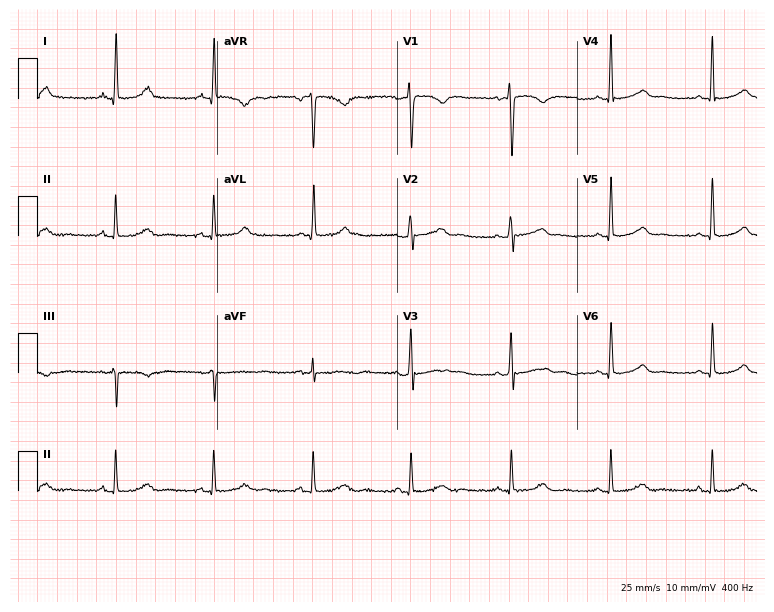
ECG (7.3-second recording at 400 Hz) — a female, 39 years old. Labelled as a normal ECG.